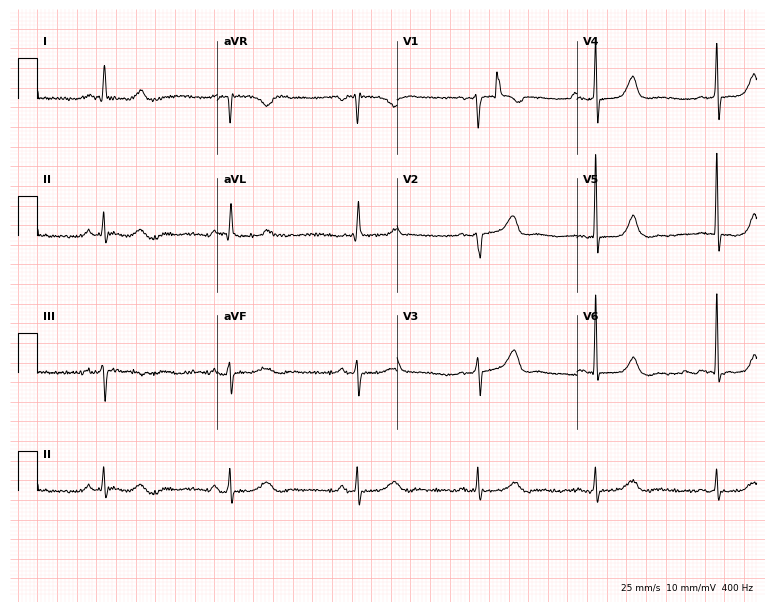
Electrocardiogram (7.3-second recording at 400 Hz), a 76-year-old female. Of the six screened findings (first-degree AV block, right bundle branch block (RBBB), left bundle branch block (LBBB), sinus bradycardia, atrial fibrillation (AF), sinus tachycardia), none is recorded. Findings outside these six are not listed.